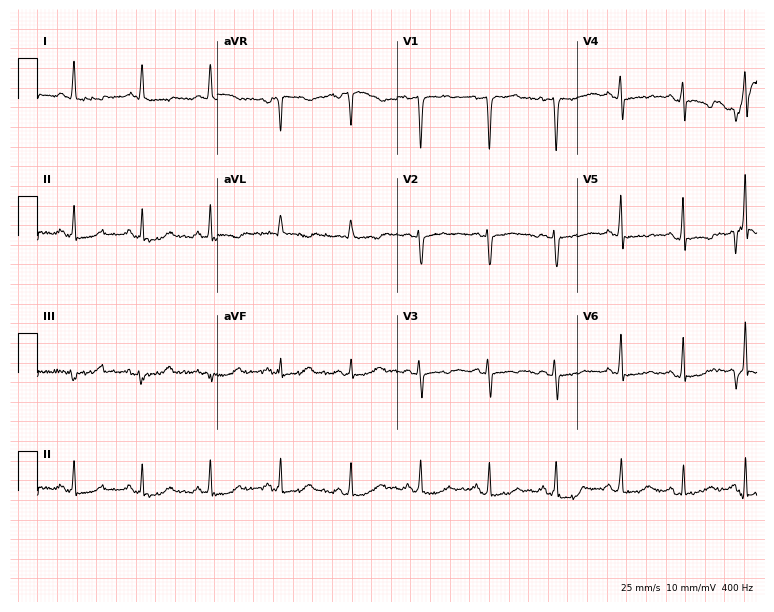
Electrocardiogram (7.3-second recording at 400 Hz), a female, 49 years old. Of the six screened findings (first-degree AV block, right bundle branch block, left bundle branch block, sinus bradycardia, atrial fibrillation, sinus tachycardia), none is recorded.